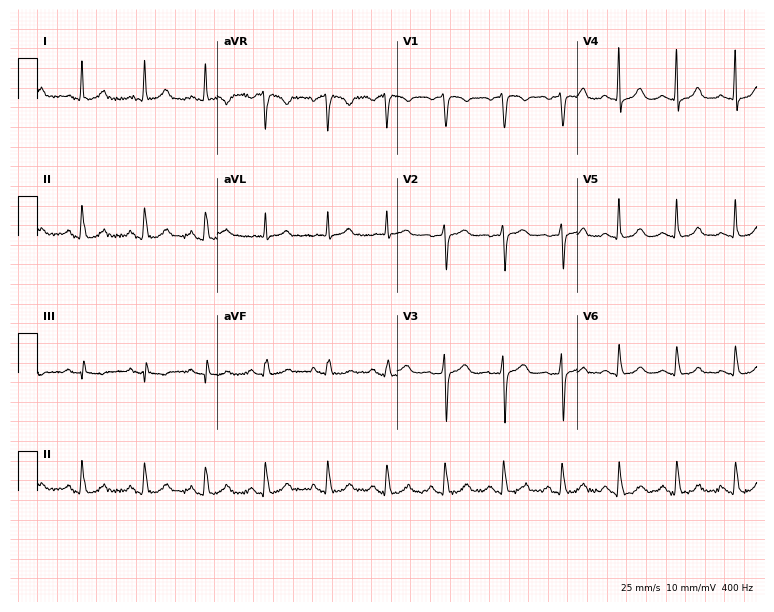
Electrocardiogram, a female, 55 years old. Overall reading on record: normal ECG.